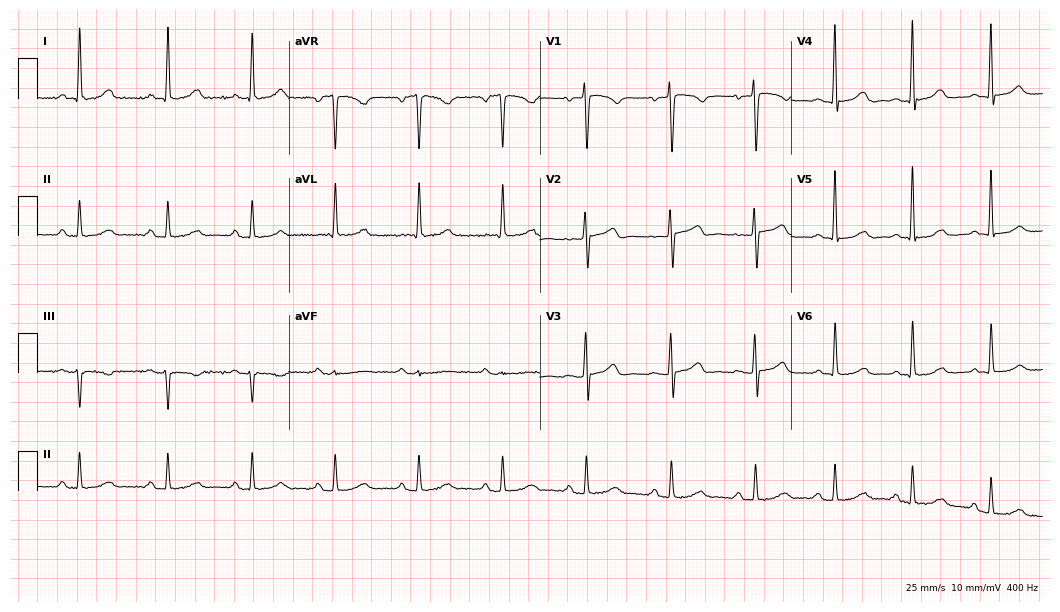
12-lead ECG from a female patient, 66 years old. Recorded interpretation: within normal limits.